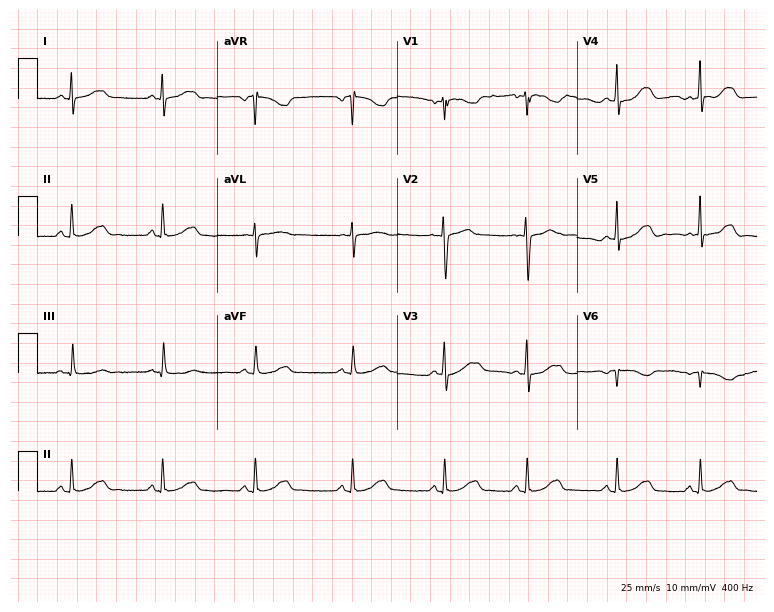
Electrocardiogram, a 20-year-old woman. Of the six screened findings (first-degree AV block, right bundle branch block, left bundle branch block, sinus bradycardia, atrial fibrillation, sinus tachycardia), none is recorded.